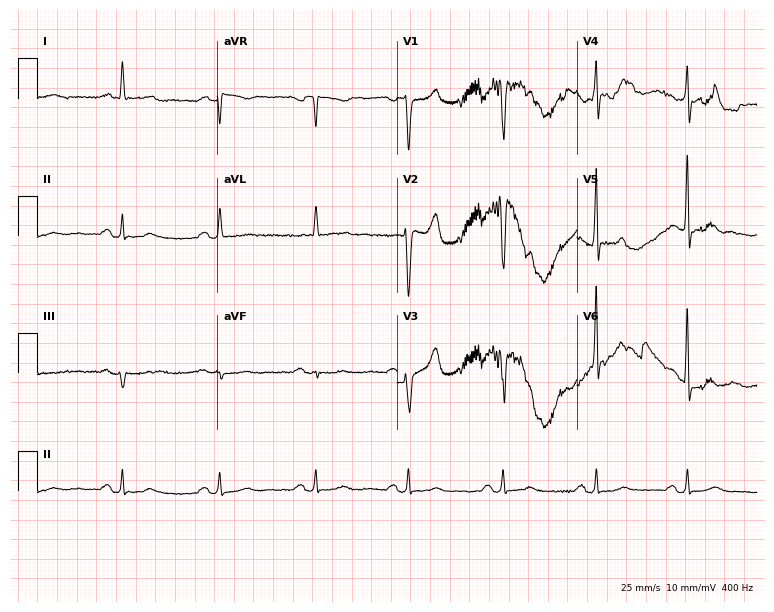
Resting 12-lead electrocardiogram. Patient: a male, 62 years old. None of these six findings is recorded: first-degree AV block, right bundle branch block (RBBB), left bundle branch block (LBBB), sinus bradycardia, atrial fibrillation (AF), sinus tachycardia.